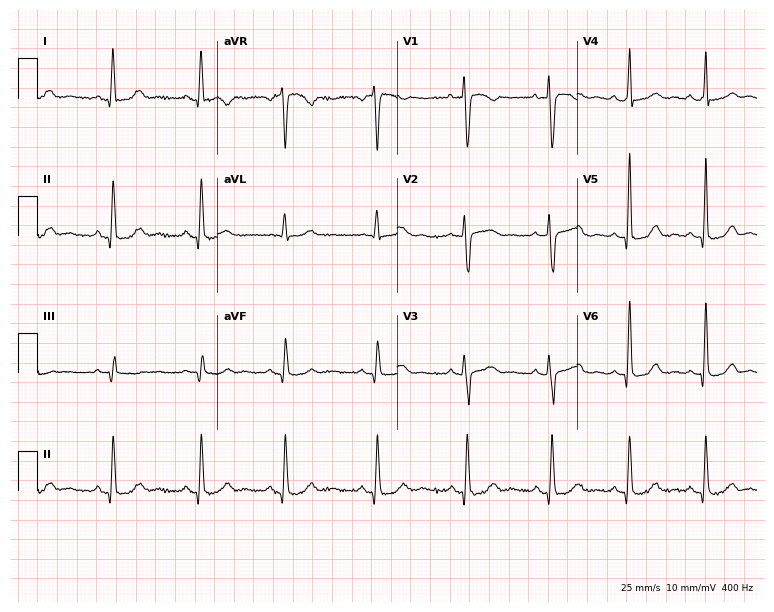
12-lead ECG from a female patient, 39 years old. Labelled as a normal ECG.